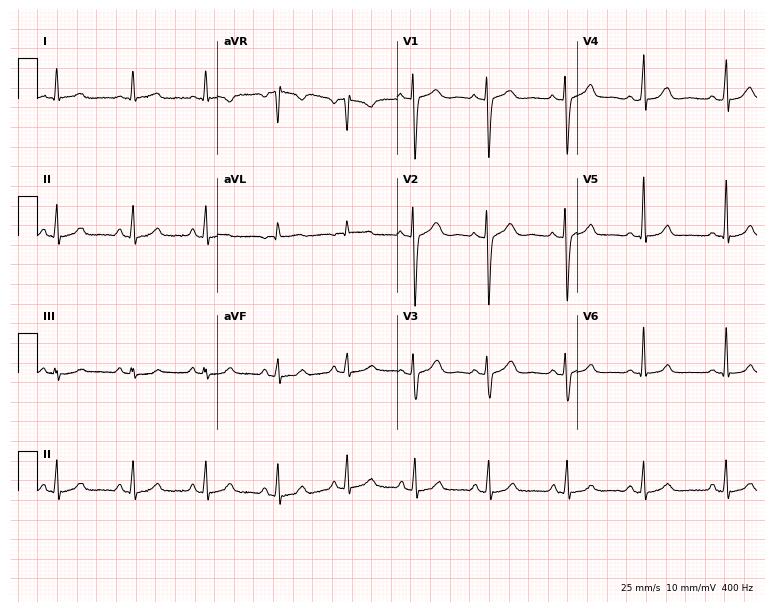
12-lead ECG from a female patient, 30 years old. Screened for six findings — first-degree AV block, right bundle branch block, left bundle branch block, sinus bradycardia, atrial fibrillation, sinus tachycardia — none is recorded.